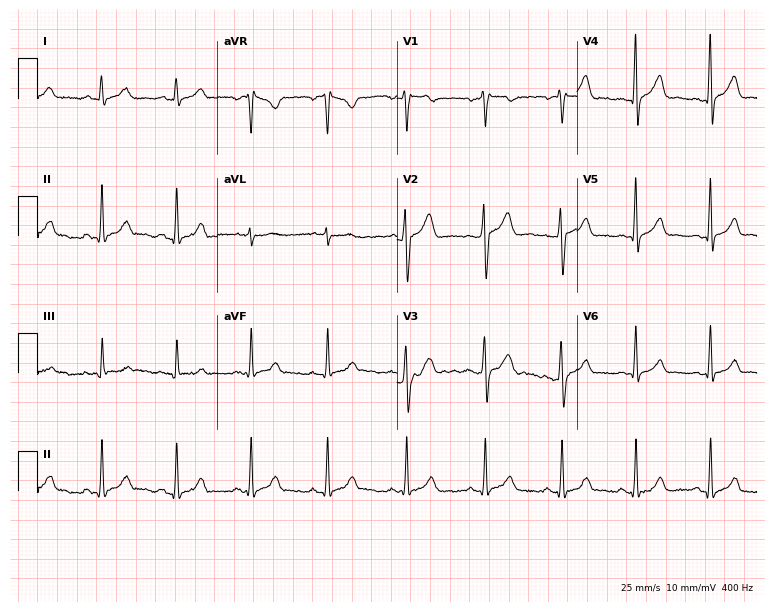
Electrocardiogram, a male, 22 years old. Overall reading on record: normal ECG.